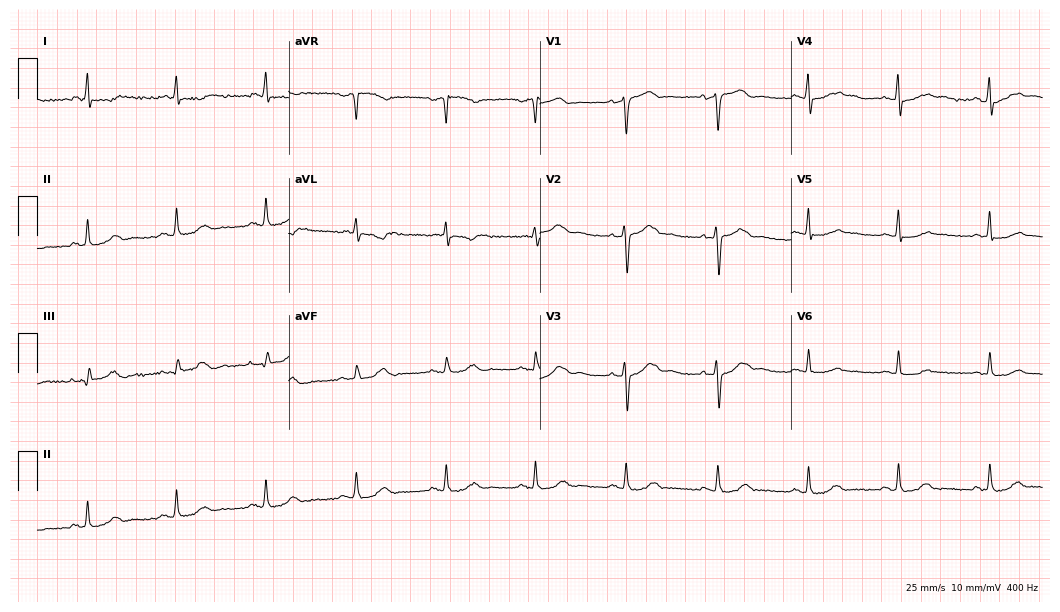
12-lead ECG from a female patient, 48 years old. No first-degree AV block, right bundle branch block, left bundle branch block, sinus bradycardia, atrial fibrillation or sinus tachycardia recorded for this tracing.